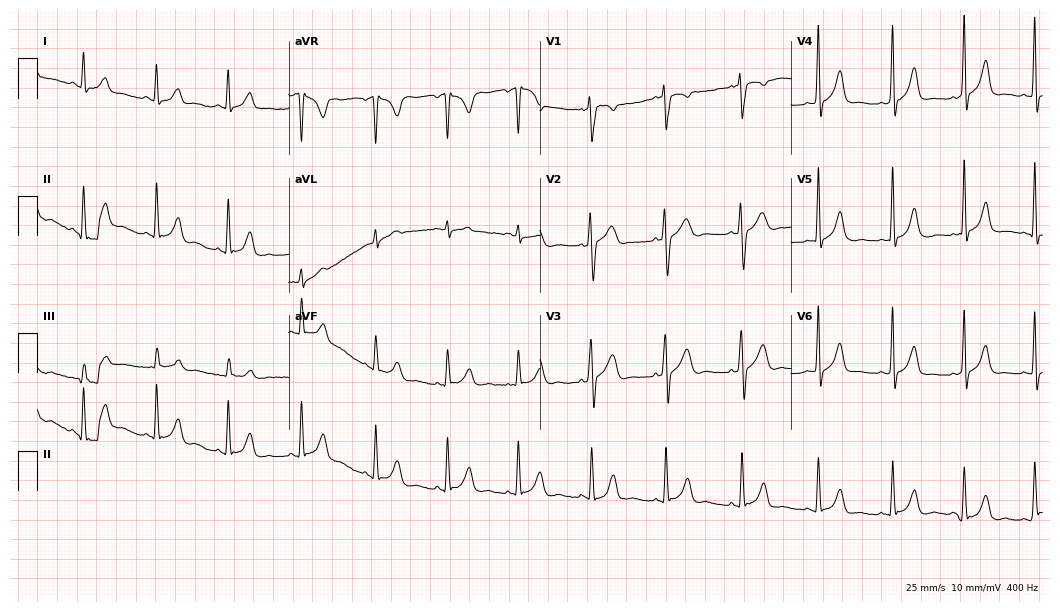
12-lead ECG from a female, 26 years old (10.2-second recording at 400 Hz). Recorded interpretation: within normal limits.